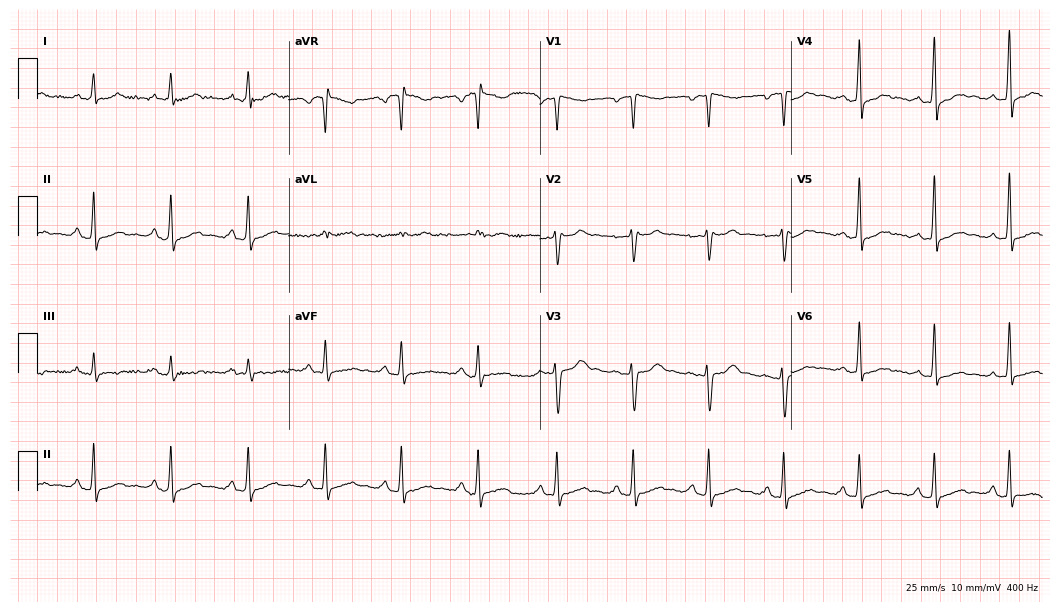
Electrocardiogram (10.2-second recording at 400 Hz), a man, 49 years old. Of the six screened findings (first-degree AV block, right bundle branch block, left bundle branch block, sinus bradycardia, atrial fibrillation, sinus tachycardia), none is recorded. Only these six findings were labelled.